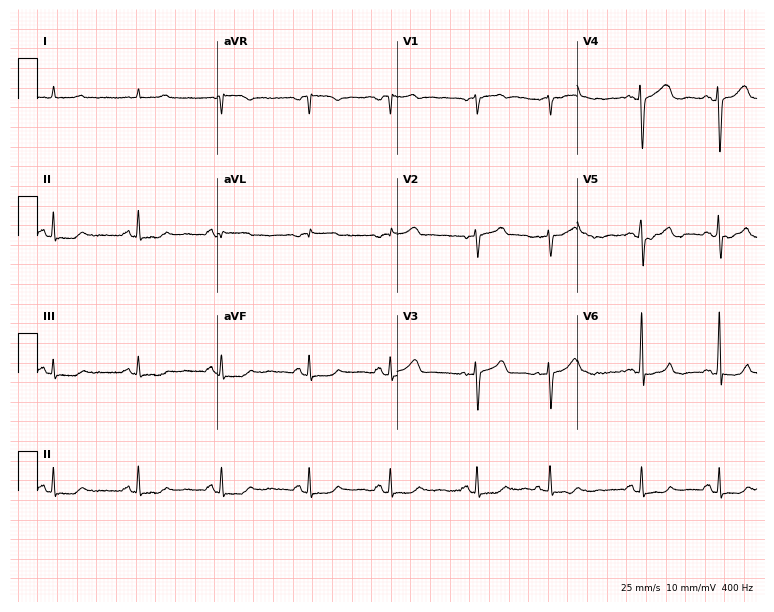
Electrocardiogram (7.3-second recording at 400 Hz), a man, 82 years old. Of the six screened findings (first-degree AV block, right bundle branch block, left bundle branch block, sinus bradycardia, atrial fibrillation, sinus tachycardia), none is recorded.